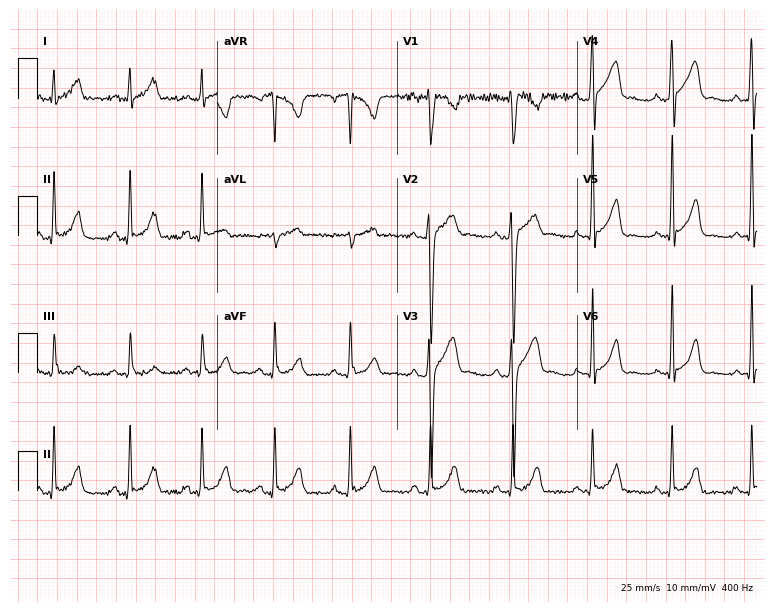
ECG — a man, 20 years old. Labelled as a normal ECG.